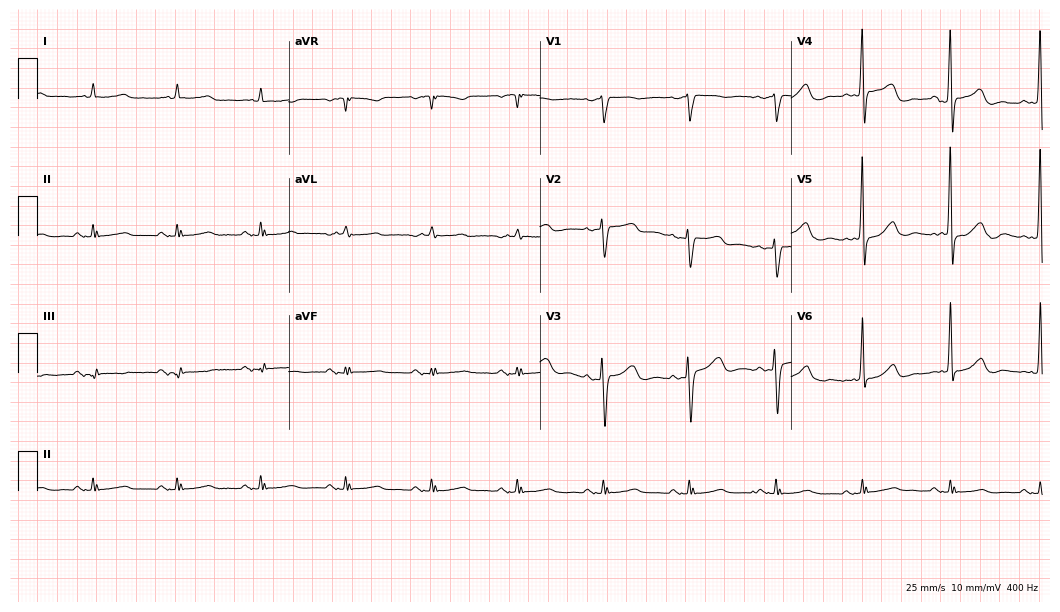
Resting 12-lead electrocardiogram. Patient: a 75-year-old male. Read as a normal ECG.